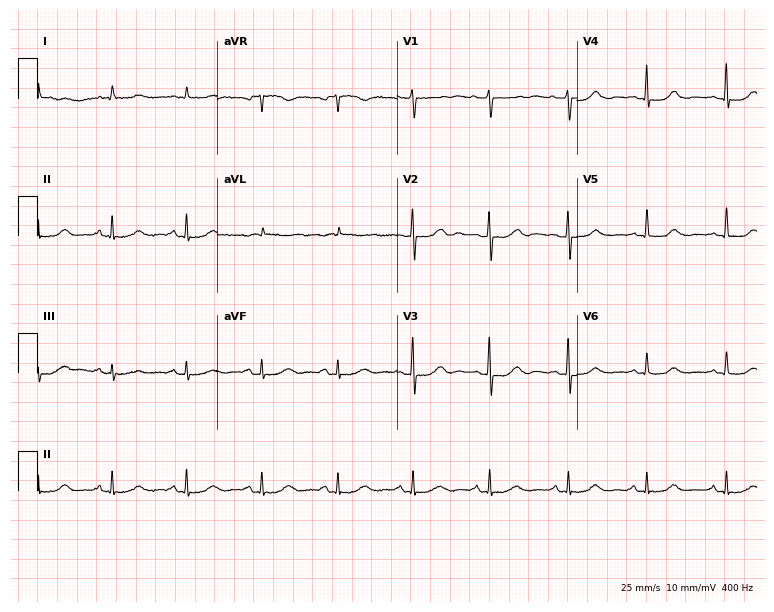
Resting 12-lead electrocardiogram (7.3-second recording at 400 Hz). Patient: a 63-year-old female. None of these six findings is recorded: first-degree AV block, right bundle branch block, left bundle branch block, sinus bradycardia, atrial fibrillation, sinus tachycardia. Only these six findings were labelled.